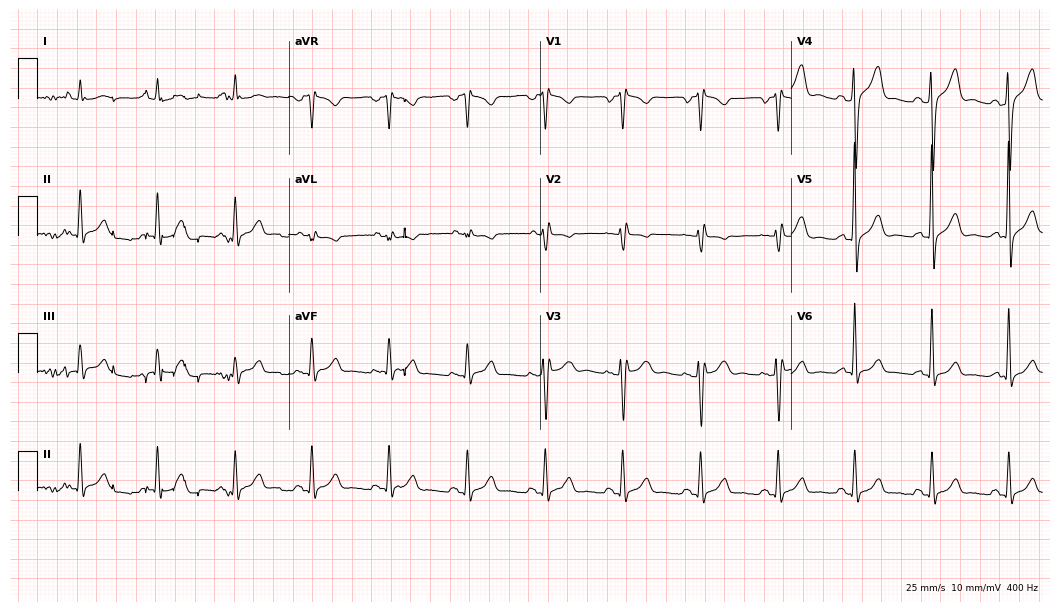
Resting 12-lead electrocardiogram (10.2-second recording at 400 Hz). Patient: a male, 24 years old. None of these six findings is recorded: first-degree AV block, right bundle branch block, left bundle branch block, sinus bradycardia, atrial fibrillation, sinus tachycardia. Findings outside these six are not listed.